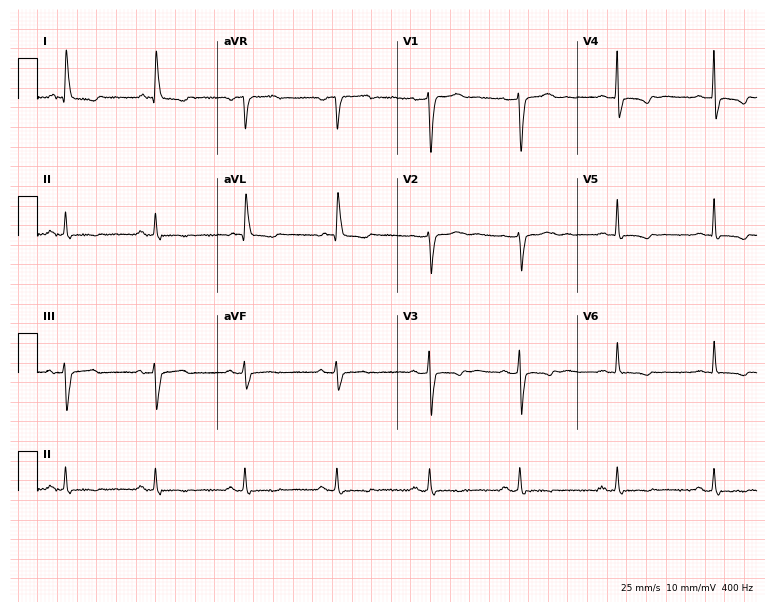
Standard 12-lead ECG recorded from a woman, 70 years old. None of these six findings is recorded: first-degree AV block, right bundle branch block, left bundle branch block, sinus bradycardia, atrial fibrillation, sinus tachycardia. Other findings, if any, are not listed.